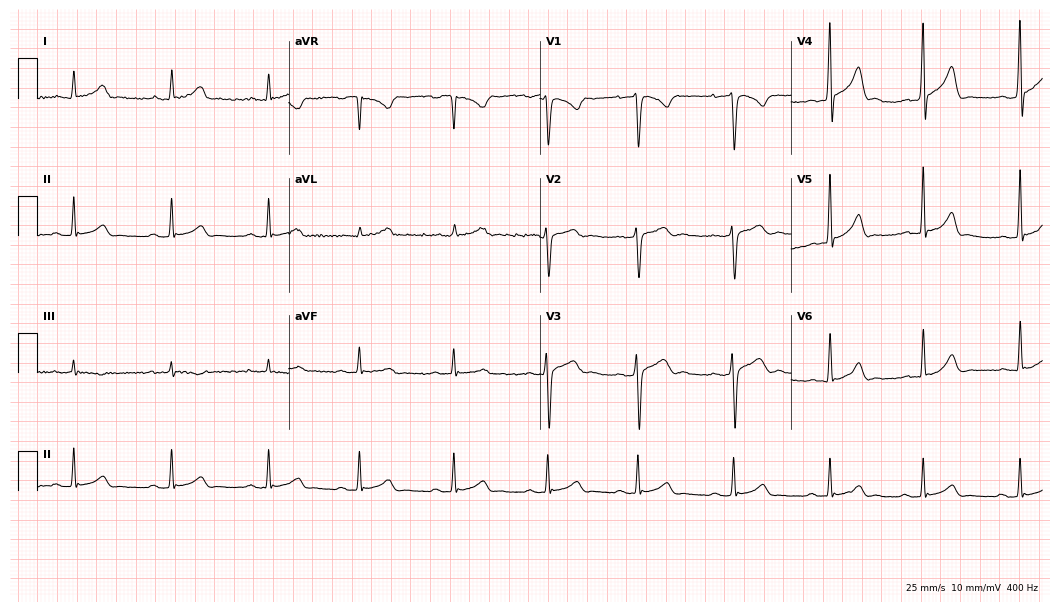
12-lead ECG (10.2-second recording at 400 Hz) from a 24-year-old male. Labelled as a normal ECG.